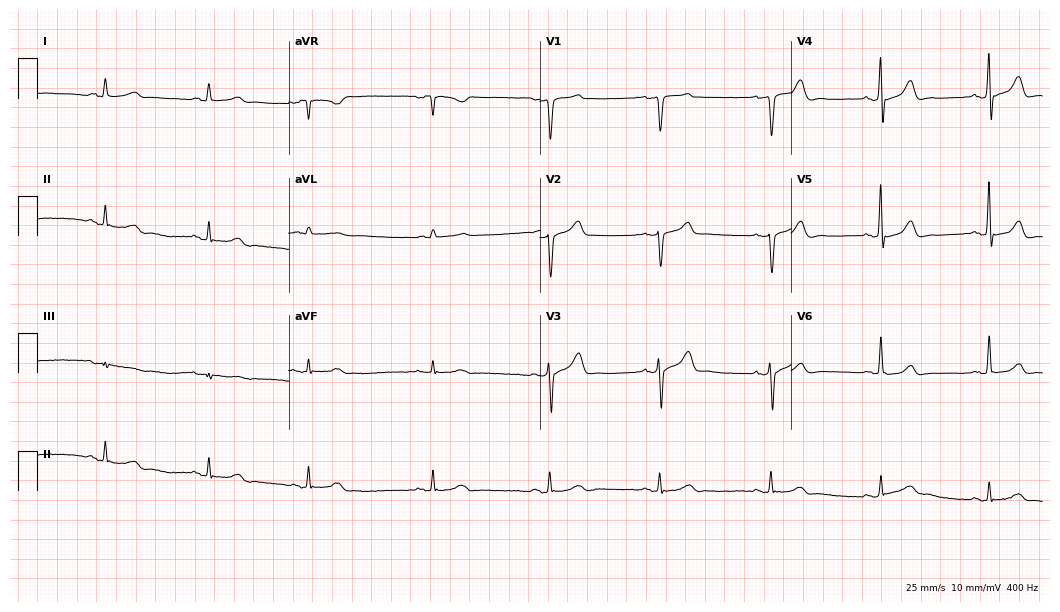
Electrocardiogram (10.2-second recording at 400 Hz), a male, 62 years old. Of the six screened findings (first-degree AV block, right bundle branch block (RBBB), left bundle branch block (LBBB), sinus bradycardia, atrial fibrillation (AF), sinus tachycardia), none is recorded. Findings outside these six are not listed.